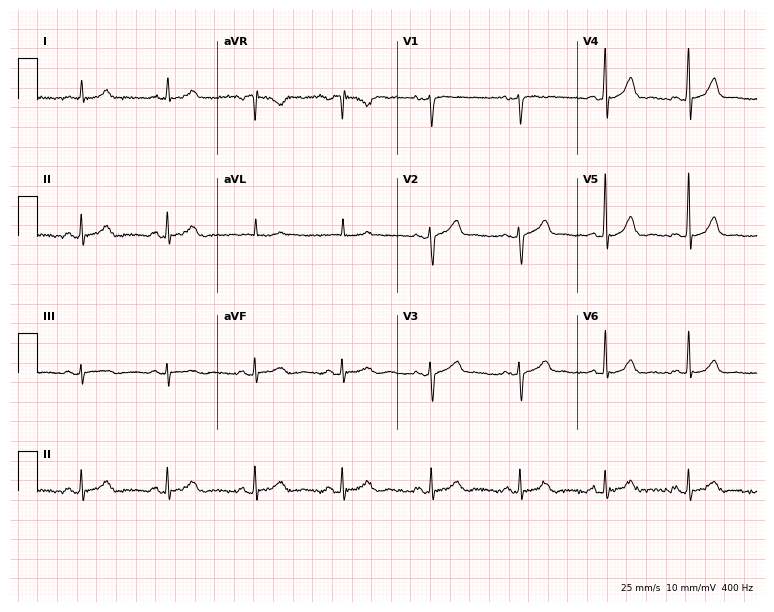
Electrocardiogram (7.3-second recording at 400 Hz), a 54-year-old female. Overall reading on record: normal ECG.